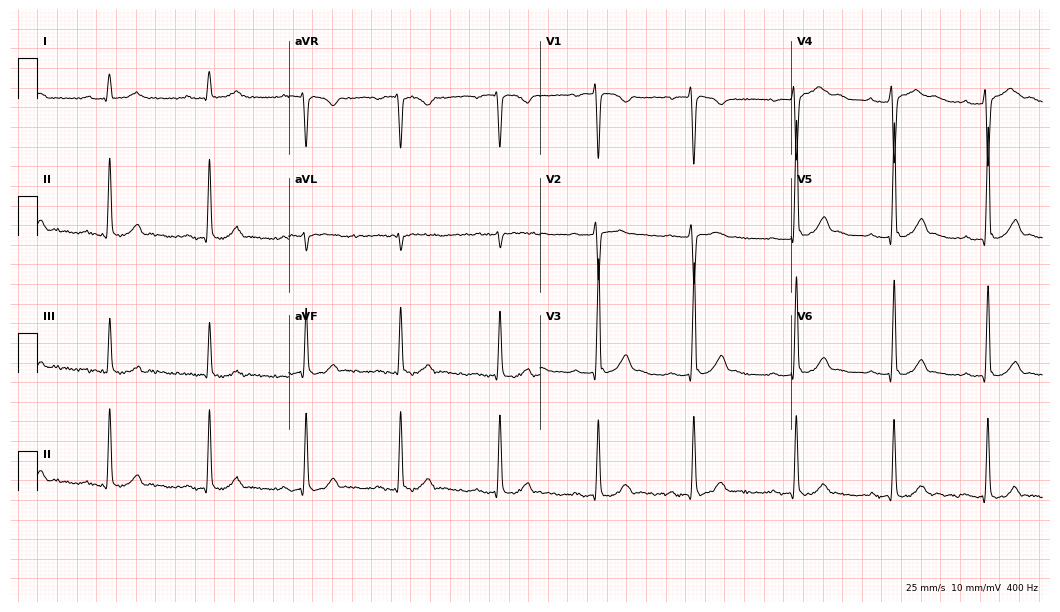
Resting 12-lead electrocardiogram. Patient: a male, 32 years old. None of these six findings is recorded: first-degree AV block, right bundle branch block, left bundle branch block, sinus bradycardia, atrial fibrillation, sinus tachycardia. Findings outside these six are not listed.